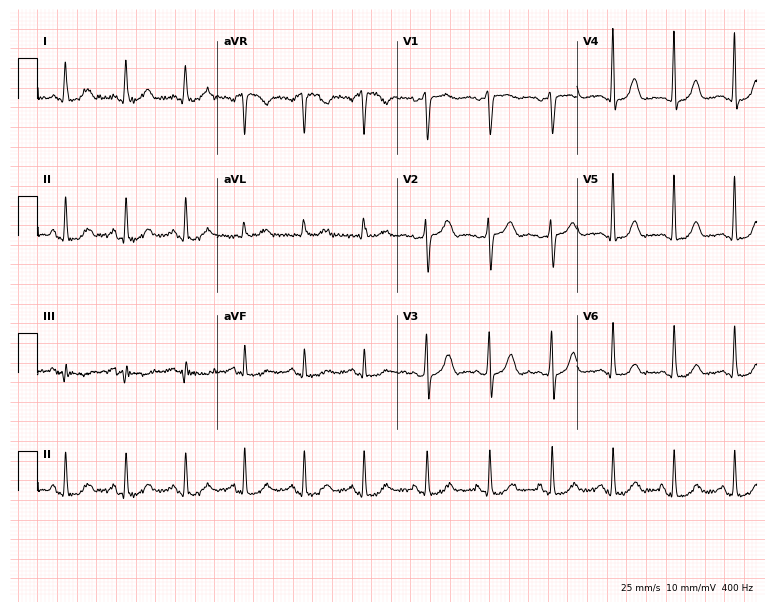
12-lead ECG (7.3-second recording at 400 Hz) from a female, 51 years old. Screened for six findings — first-degree AV block, right bundle branch block, left bundle branch block, sinus bradycardia, atrial fibrillation, sinus tachycardia — none is recorded.